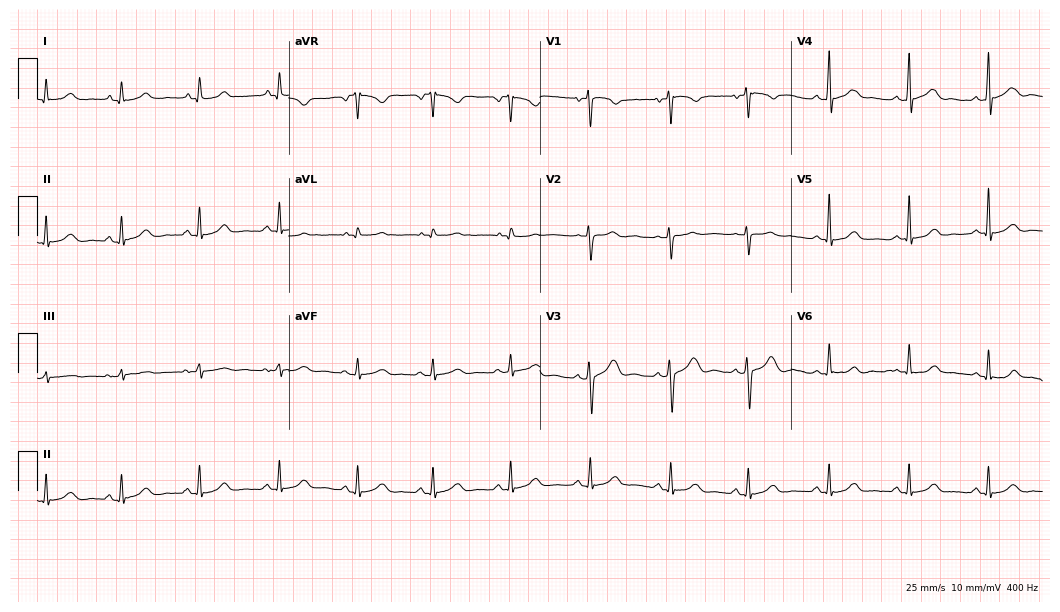
Resting 12-lead electrocardiogram (10.2-second recording at 400 Hz). Patient: a 28-year-old male. Read as a normal ECG.